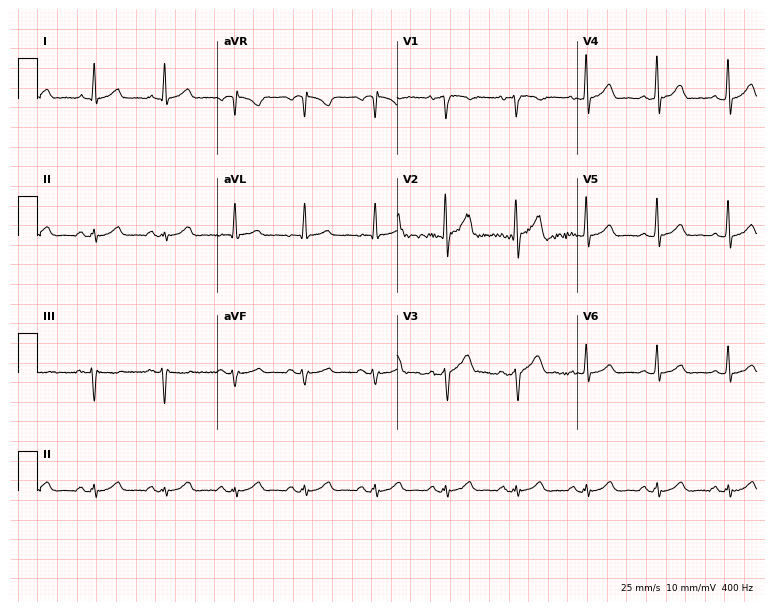
12-lead ECG from a male patient, 65 years old. Recorded interpretation: within normal limits.